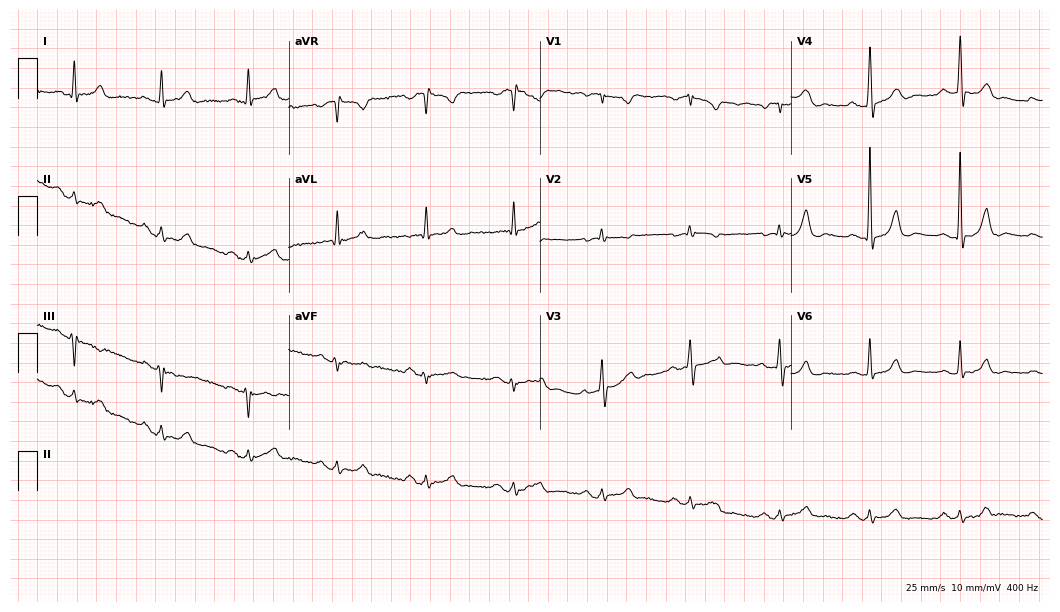
ECG — a 76-year-old man. Labelled as a normal ECG.